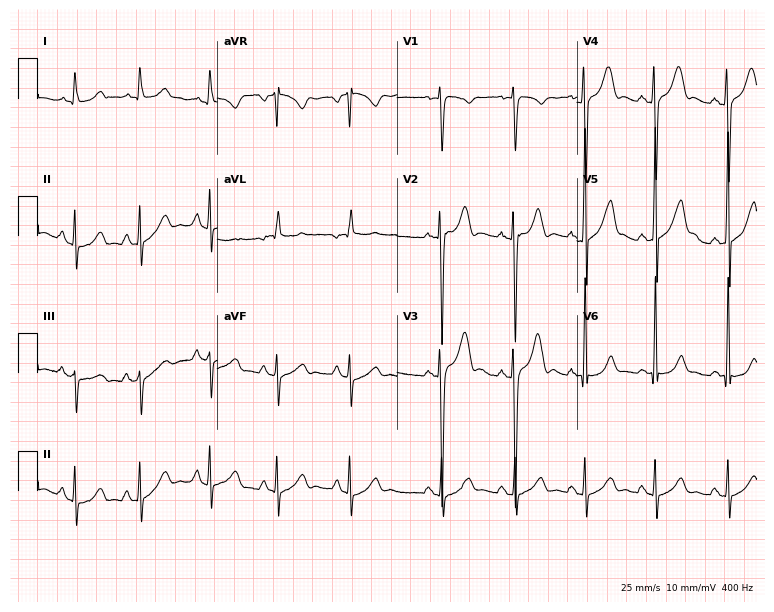
Resting 12-lead electrocardiogram (7.3-second recording at 400 Hz). Patient: a 22-year-old man. None of these six findings is recorded: first-degree AV block, right bundle branch block, left bundle branch block, sinus bradycardia, atrial fibrillation, sinus tachycardia.